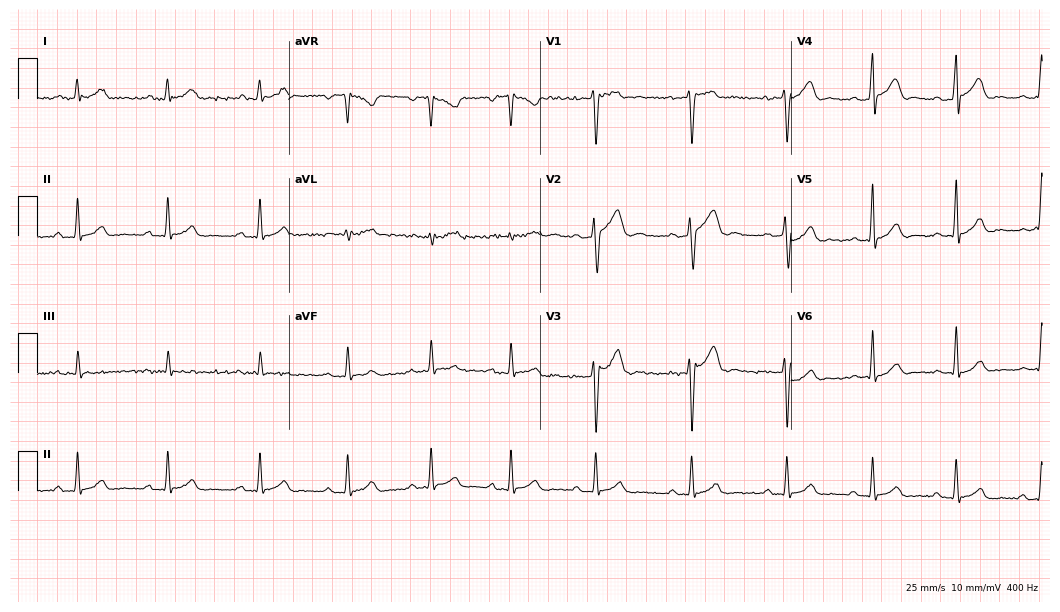
12-lead ECG (10.2-second recording at 400 Hz) from a male, 26 years old. Labelled as a normal ECG.